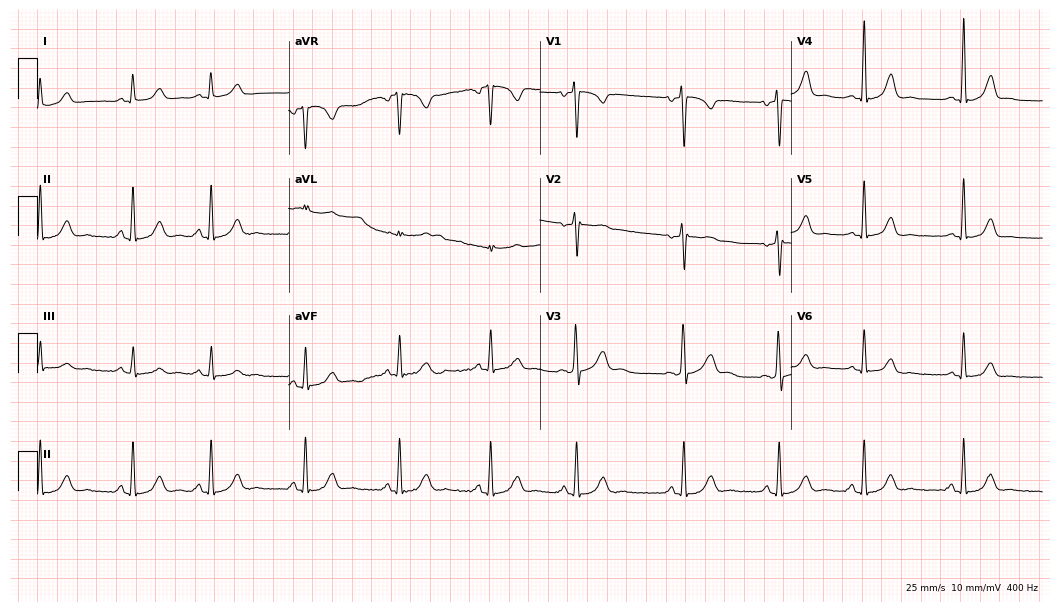
12-lead ECG from a female patient, 29 years old. No first-degree AV block, right bundle branch block, left bundle branch block, sinus bradycardia, atrial fibrillation or sinus tachycardia recorded for this tracing.